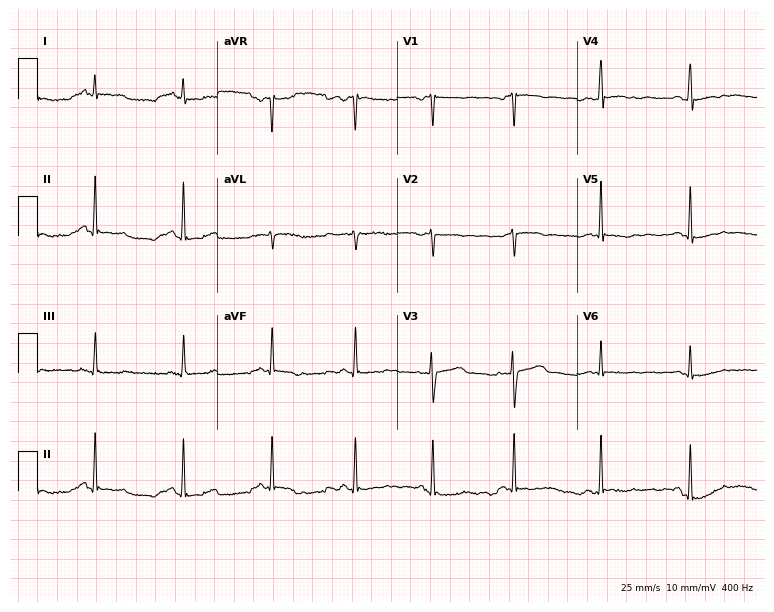
12-lead ECG from a 50-year-old woman. No first-degree AV block, right bundle branch block (RBBB), left bundle branch block (LBBB), sinus bradycardia, atrial fibrillation (AF) or sinus tachycardia recorded for this tracing.